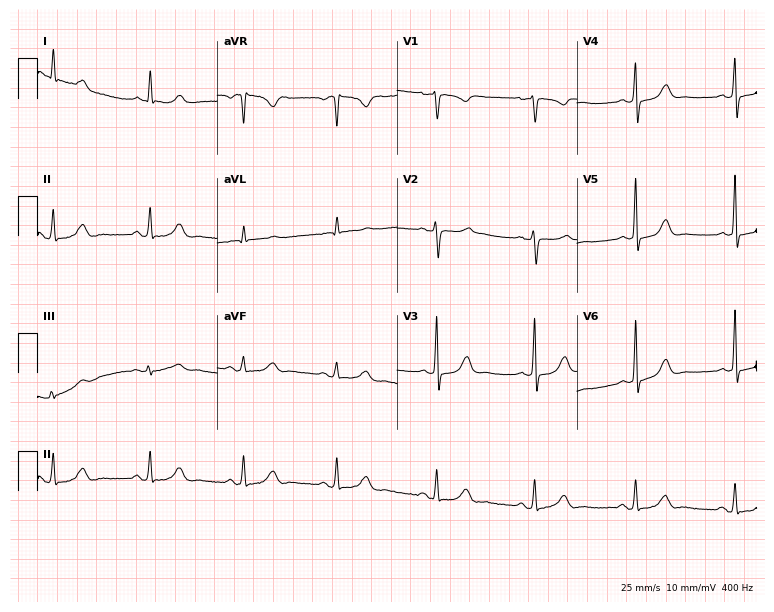
12-lead ECG from a 49-year-old female patient (7.3-second recording at 400 Hz). No first-degree AV block, right bundle branch block, left bundle branch block, sinus bradycardia, atrial fibrillation or sinus tachycardia recorded for this tracing.